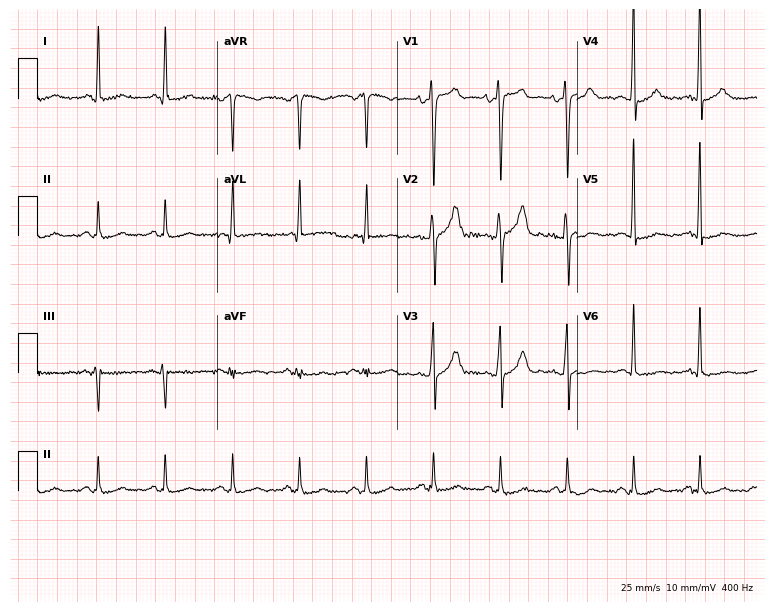
ECG — a male, 47 years old. Screened for six findings — first-degree AV block, right bundle branch block (RBBB), left bundle branch block (LBBB), sinus bradycardia, atrial fibrillation (AF), sinus tachycardia — none is recorded. Findings outside these six are not listed.